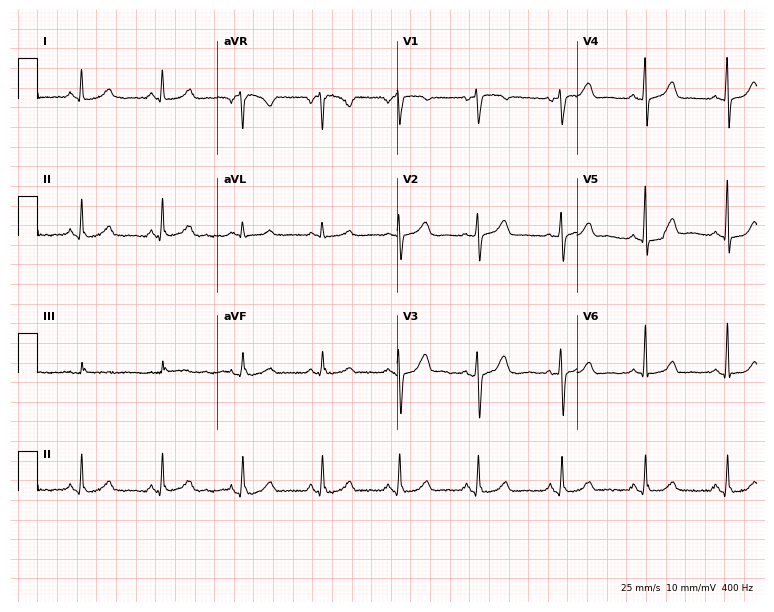
12-lead ECG from a 50-year-old female patient. No first-degree AV block, right bundle branch block, left bundle branch block, sinus bradycardia, atrial fibrillation or sinus tachycardia recorded for this tracing. Findings outside these six are not listed.